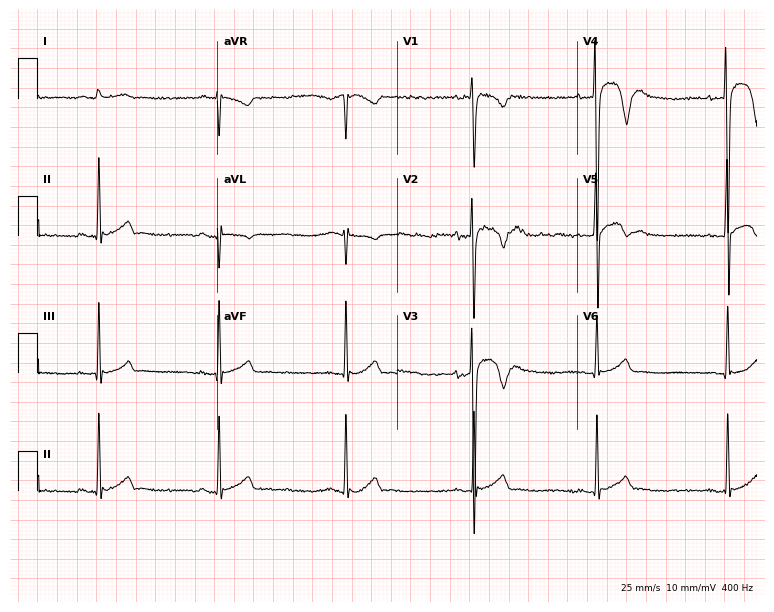
Standard 12-lead ECG recorded from a male patient, 19 years old (7.3-second recording at 400 Hz). None of these six findings is recorded: first-degree AV block, right bundle branch block (RBBB), left bundle branch block (LBBB), sinus bradycardia, atrial fibrillation (AF), sinus tachycardia.